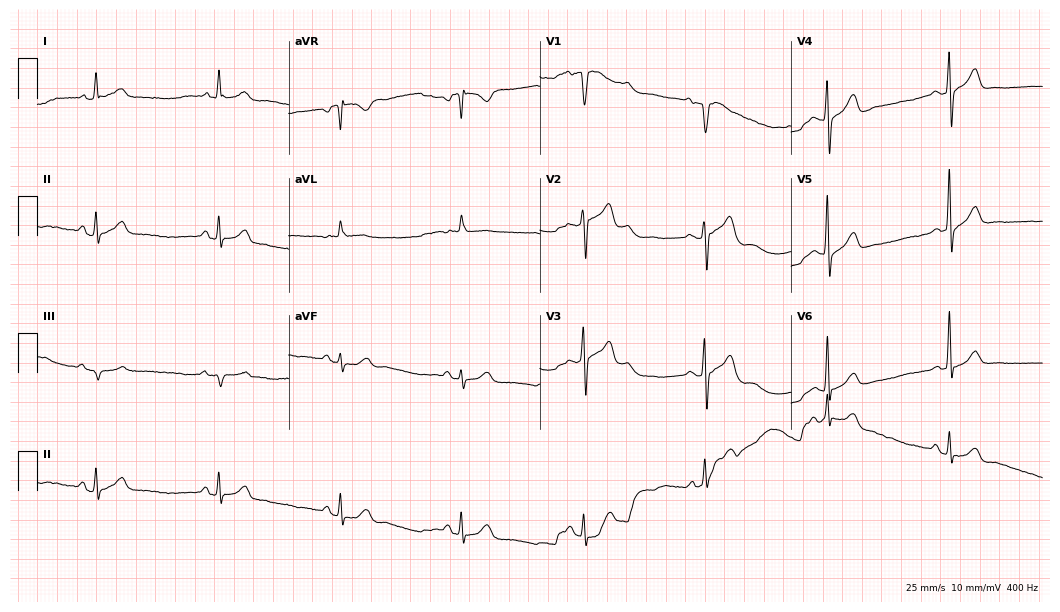
Electrocardiogram, a 73-year-old male patient. Interpretation includes sinus bradycardia (a sinus rate of 50 beats per minute or less).